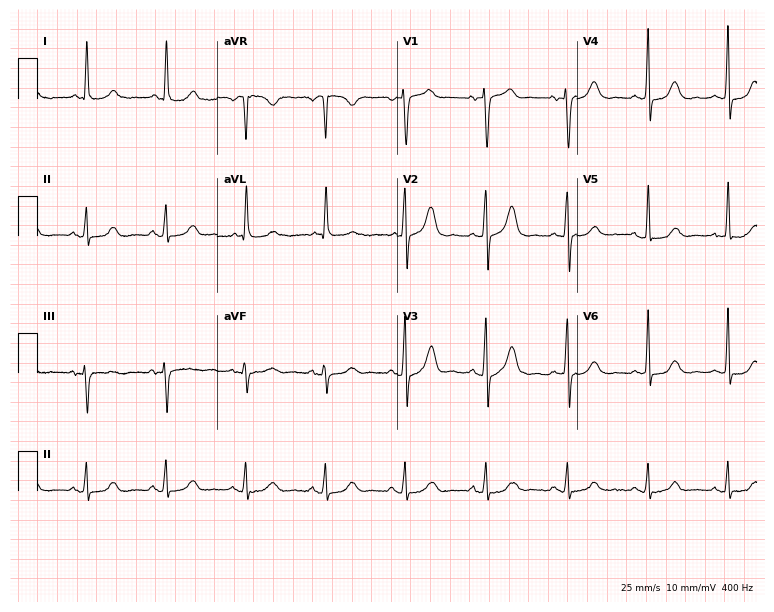
Standard 12-lead ECG recorded from a 66-year-old female. Read as a normal ECG.